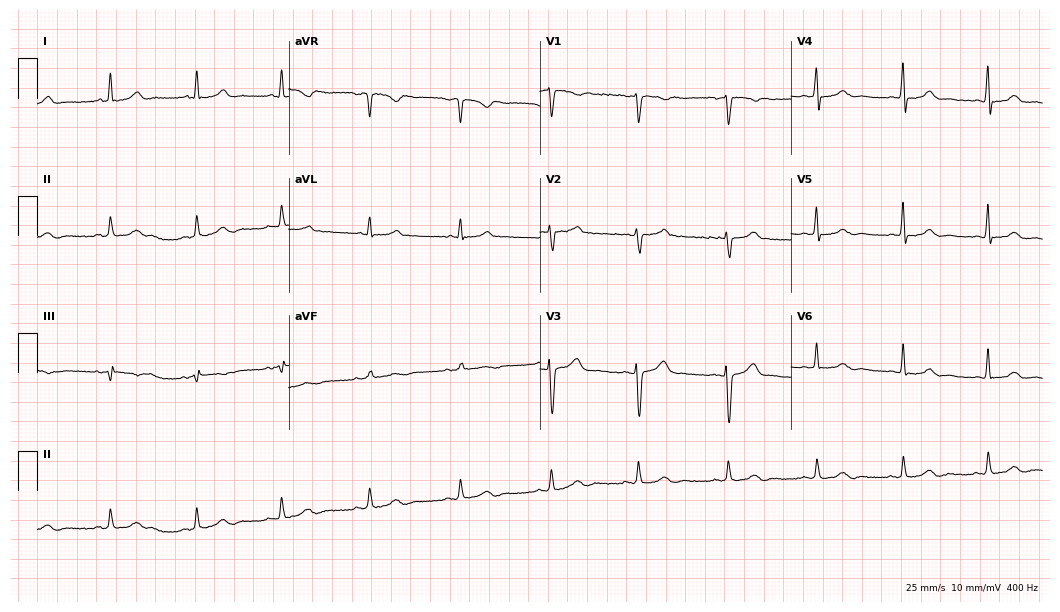
Standard 12-lead ECG recorded from a woman, 35 years old (10.2-second recording at 400 Hz). Read as a normal ECG.